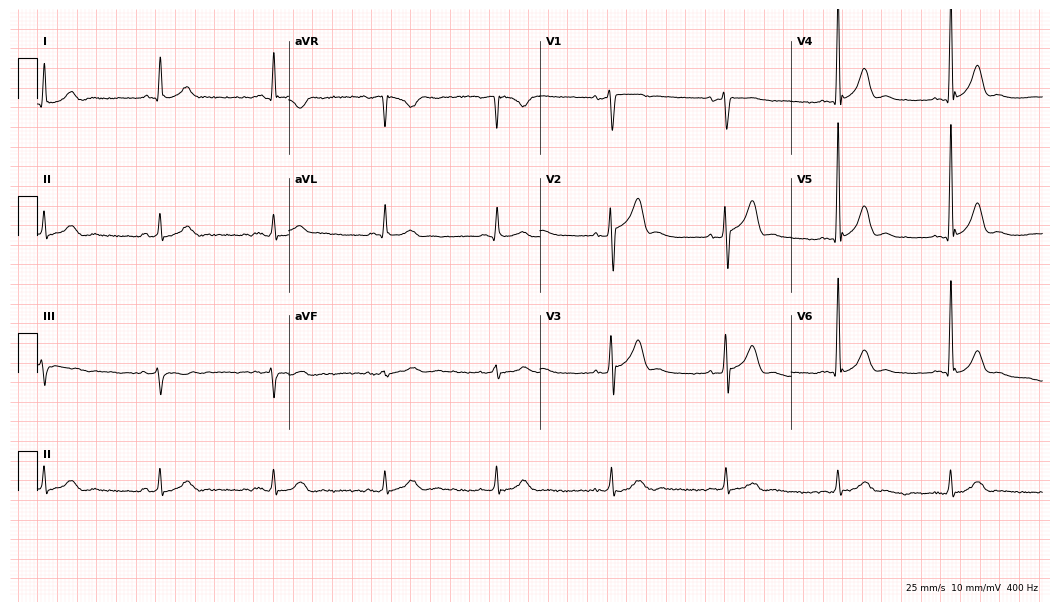
ECG (10.2-second recording at 400 Hz) — a 74-year-old male. Labelled as a normal ECG.